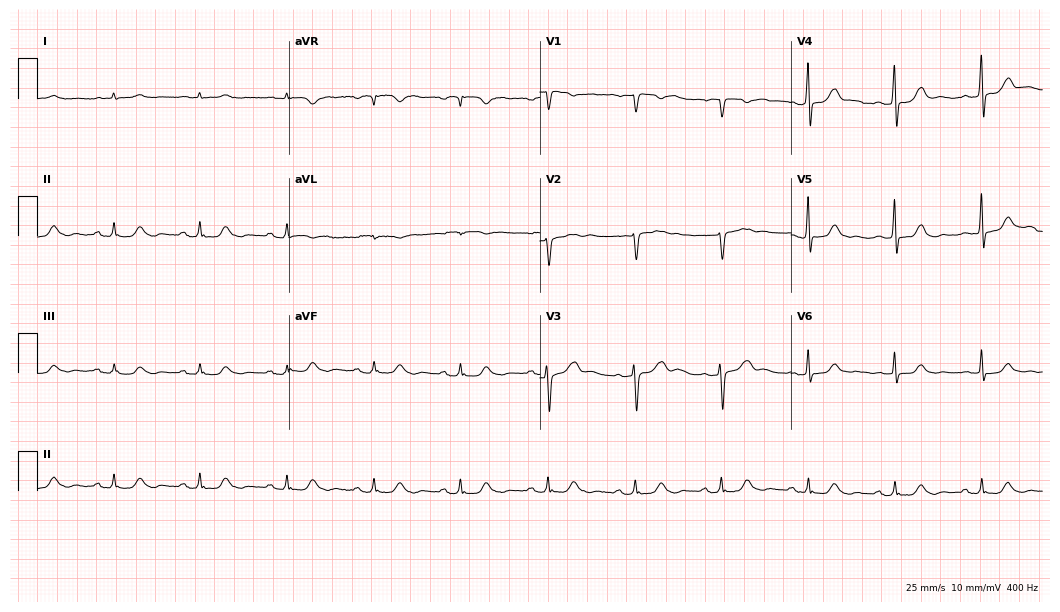
Standard 12-lead ECG recorded from a male, 77 years old (10.2-second recording at 400 Hz). None of these six findings is recorded: first-degree AV block, right bundle branch block (RBBB), left bundle branch block (LBBB), sinus bradycardia, atrial fibrillation (AF), sinus tachycardia.